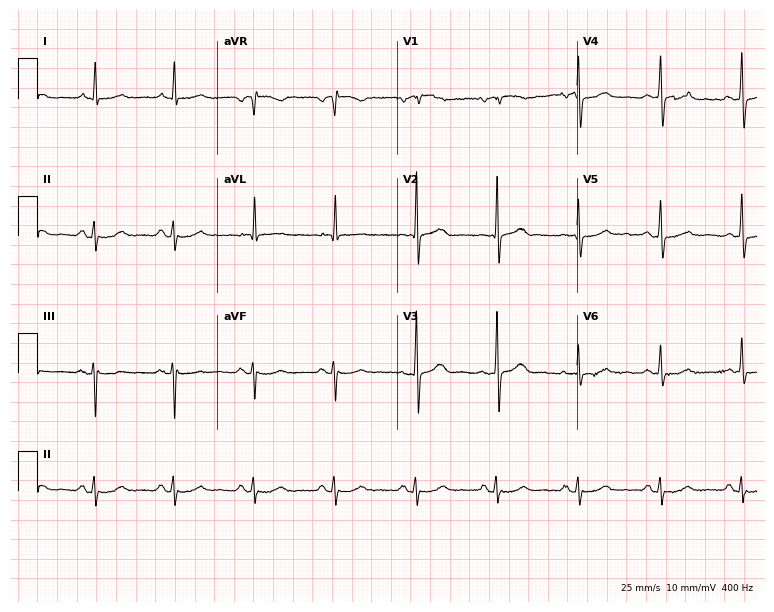
ECG (7.3-second recording at 400 Hz) — a 68-year-old male. Screened for six findings — first-degree AV block, right bundle branch block, left bundle branch block, sinus bradycardia, atrial fibrillation, sinus tachycardia — none is recorded. Only these six findings were labelled.